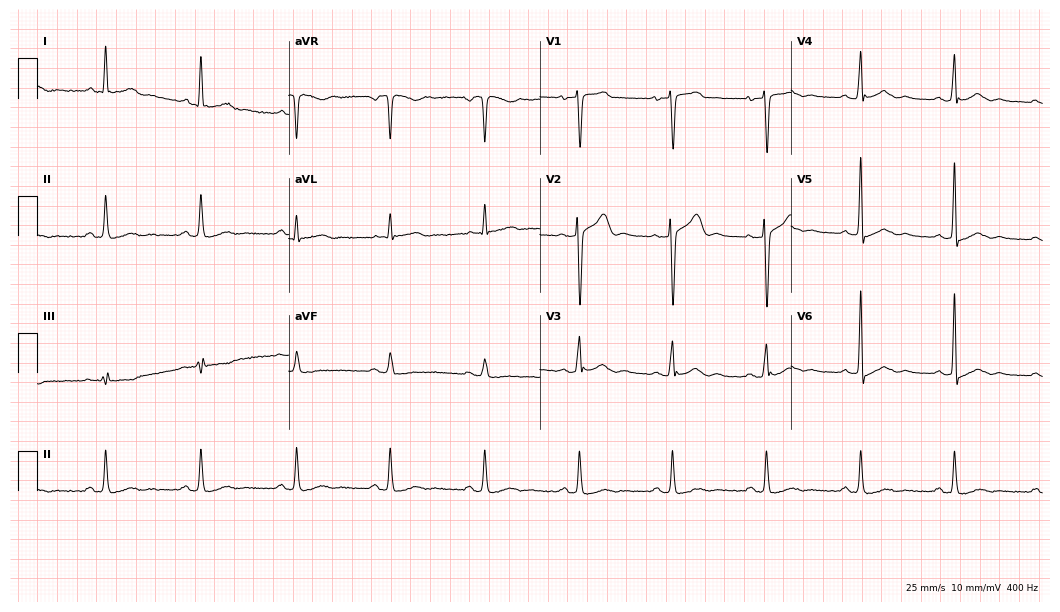
12-lead ECG from a 49-year-old male patient (10.2-second recording at 400 Hz). Recorded interpretation: within normal limits.